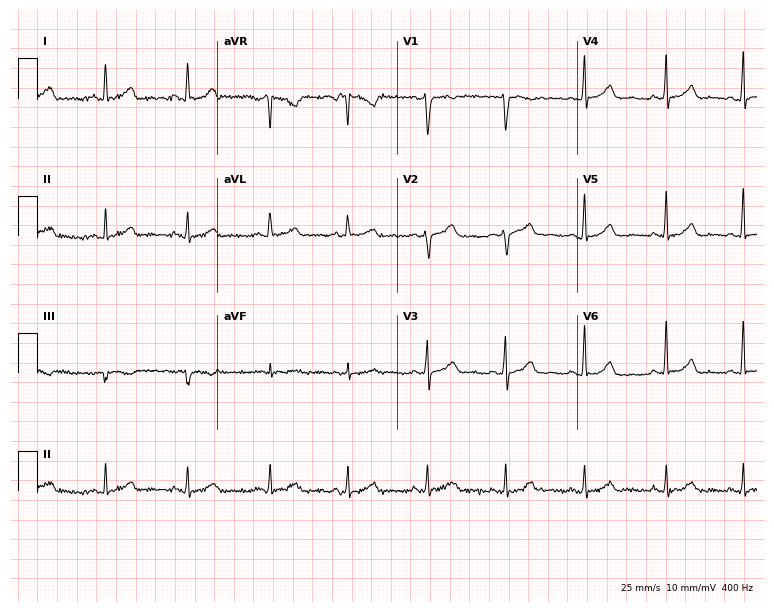
Resting 12-lead electrocardiogram. Patient: a female, 55 years old. None of these six findings is recorded: first-degree AV block, right bundle branch block (RBBB), left bundle branch block (LBBB), sinus bradycardia, atrial fibrillation (AF), sinus tachycardia.